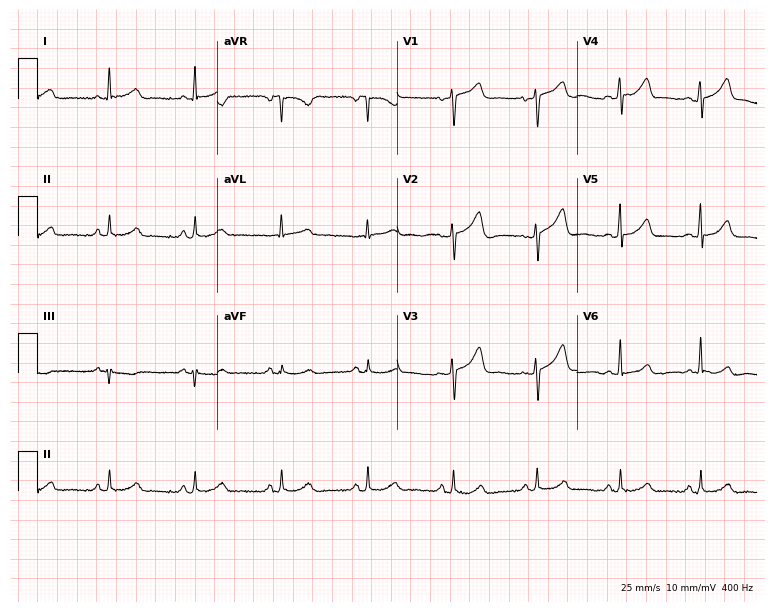
ECG (7.3-second recording at 400 Hz) — a 66-year-old female patient. Labelled as a normal ECG.